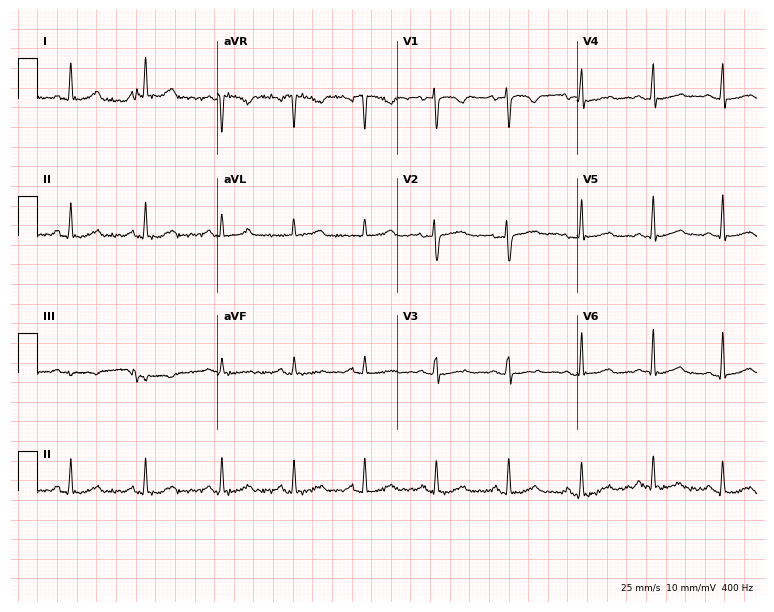
Resting 12-lead electrocardiogram. Patient: a 37-year-old woman. None of these six findings is recorded: first-degree AV block, right bundle branch block, left bundle branch block, sinus bradycardia, atrial fibrillation, sinus tachycardia.